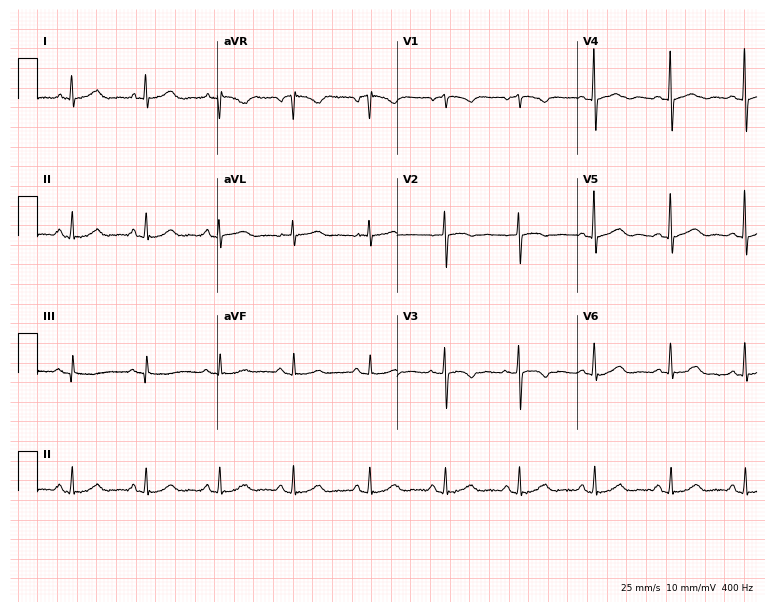
ECG (7.3-second recording at 400 Hz) — a female, 69 years old. Labelled as a normal ECG.